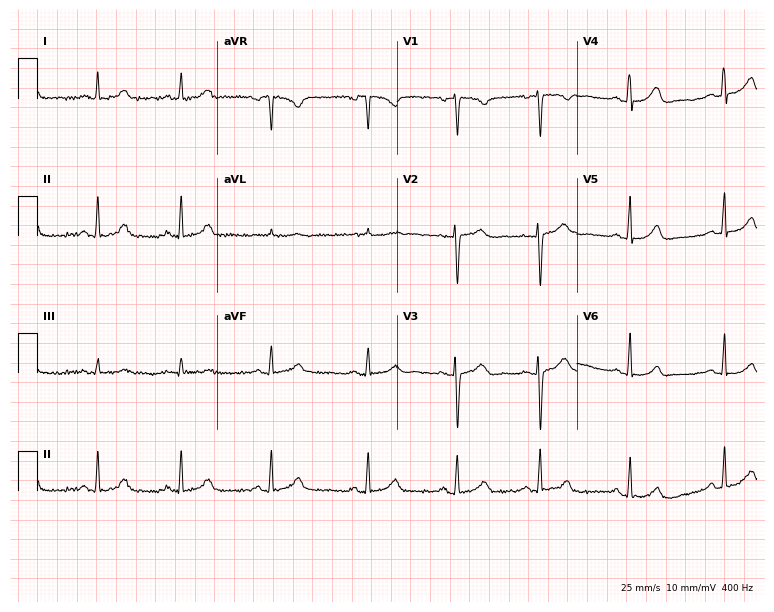
Standard 12-lead ECG recorded from a female patient, 25 years old. None of these six findings is recorded: first-degree AV block, right bundle branch block, left bundle branch block, sinus bradycardia, atrial fibrillation, sinus tachycardia.